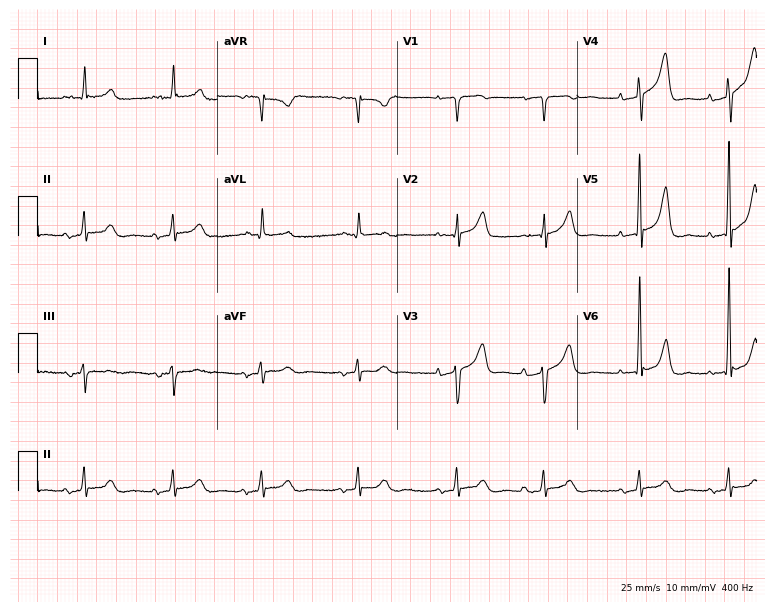
12-lead ECG (7.3-second recording at 400 Hz) from an 80-year-old male patient. Labelled as a normal ECG.